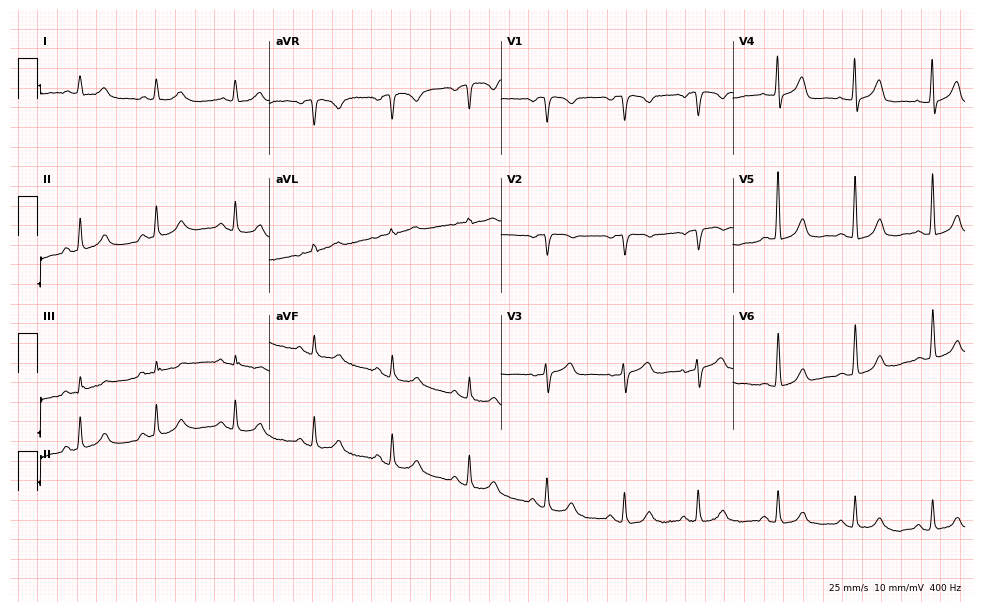
ECG — an 82-year-old woman. Screened for six findings — first-degree AV block, right bundle branch block, left bundle branch block, sinus bradycardia, atrial fibrillation, sinus tachycardia — none is recorded.